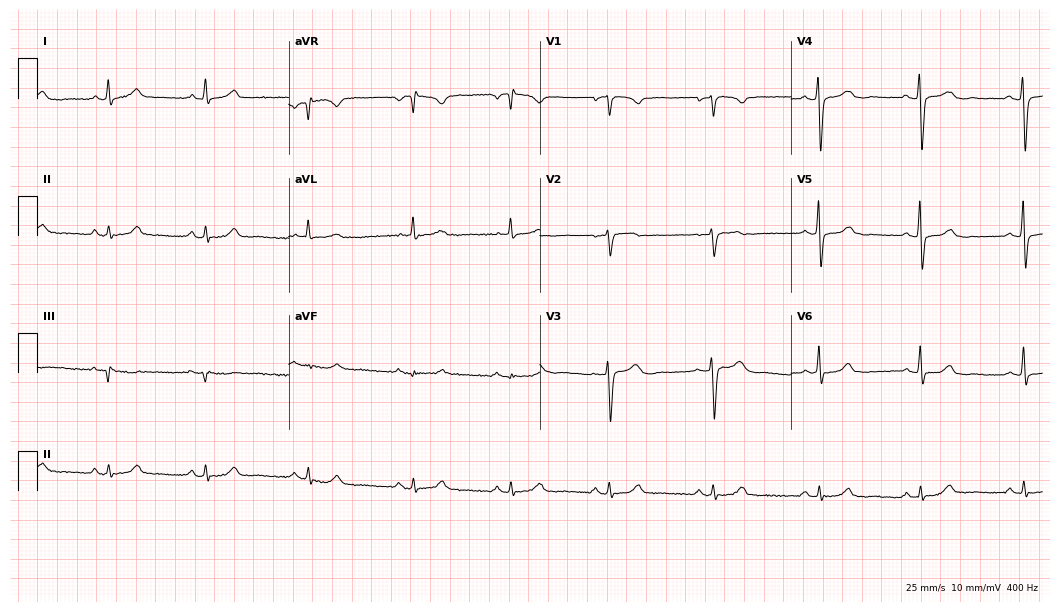
12-lead ECG from a woman, 45 years old. Screened for six findings — first-degree AV block, right bundle branch block, left bundle branch block, sinus bradycardia, atrial fibrillation, sinus tachycardia — none is recorded.